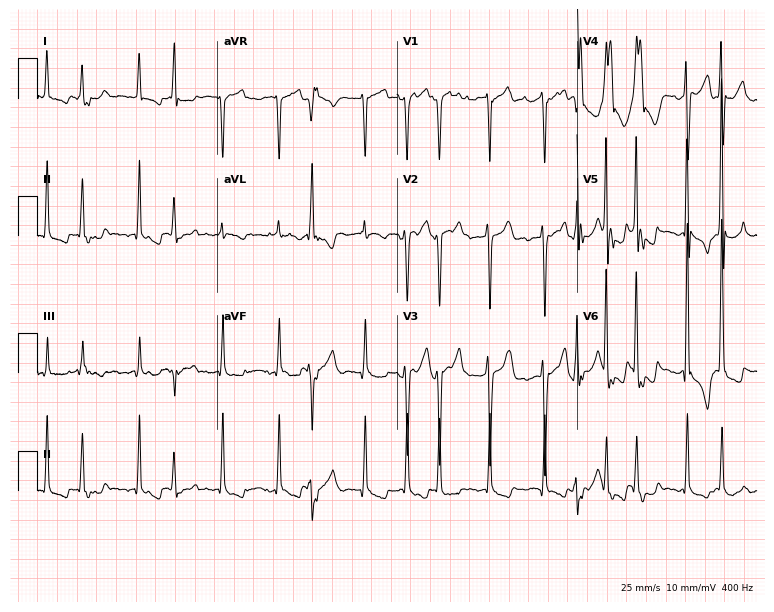
Standard 12-lead ECG recorded from a 67-year-old male patient. The tracing shows atrial fibrillation (AF).